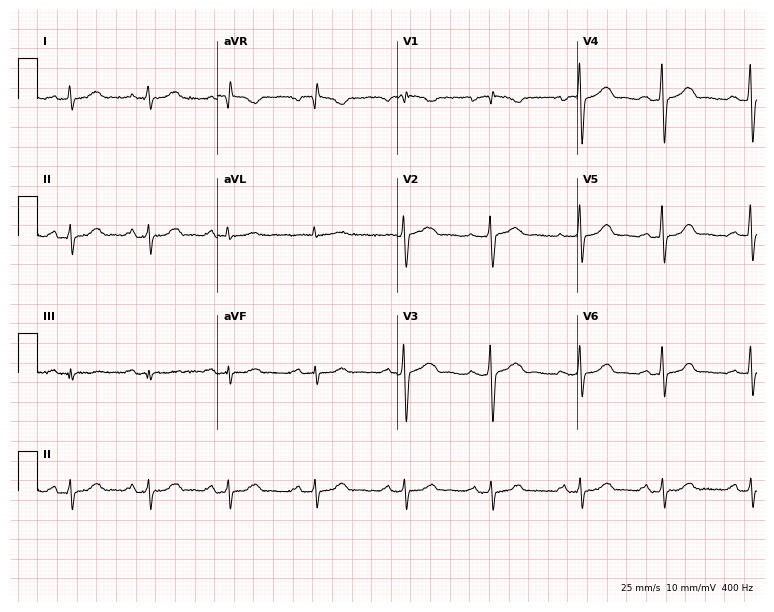
Resting 12-lead electrocardiogram. Patient: a 72-year-old woman. None of these six findings is recorded: first-degree AV block, right bundle branch block, left bundle branch block, sinus bradycardia, atrial fibrillation, sinus tachycardia. Only these six findings were labelled.